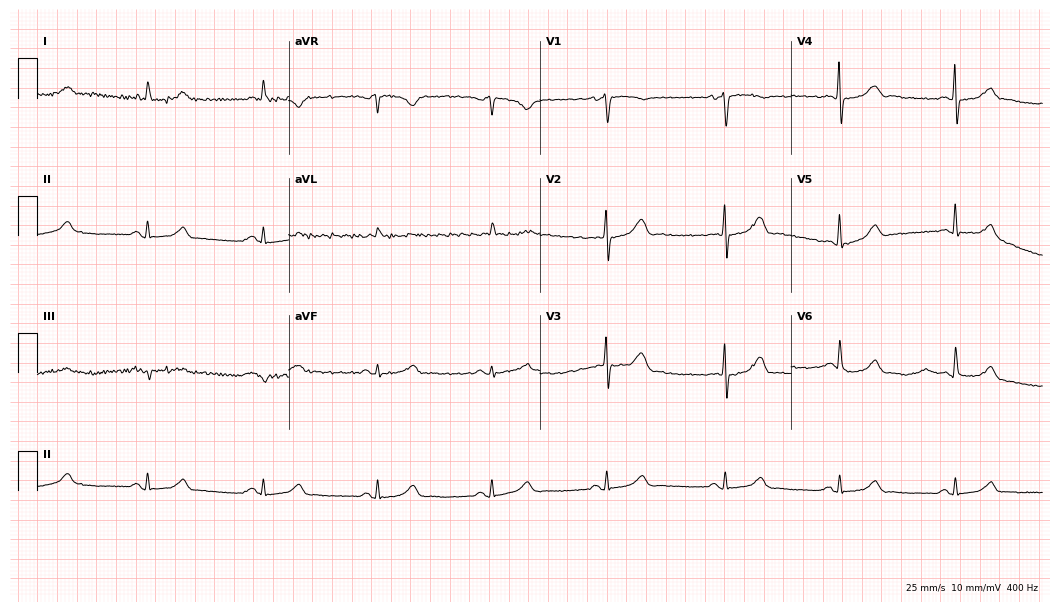
Standard 12-lead ECG recorded from a woman, 81 years old (10.2-second recording at 400 Hz). None of these six findings is recorded: first-degree AV block, right bundle branch block (RBBB), left bundle branch block (LBBB), sinus bradycardia, atrial fibrillation (AF), sinus tachycardia.